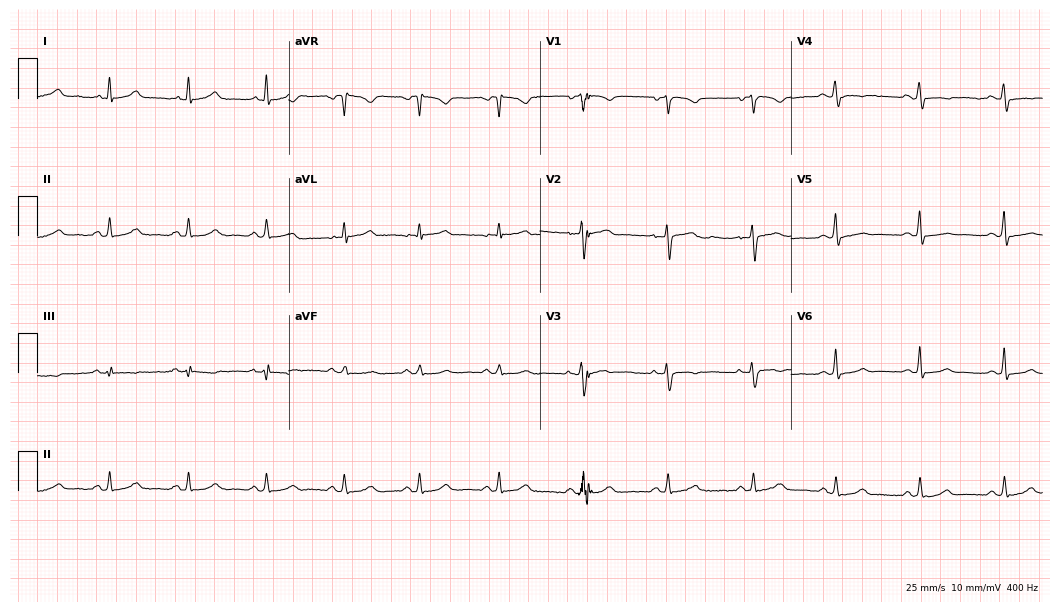
Resting 12-lead electrocardiogram. Patient: a female, 40 years old. Read as a normal ECG.